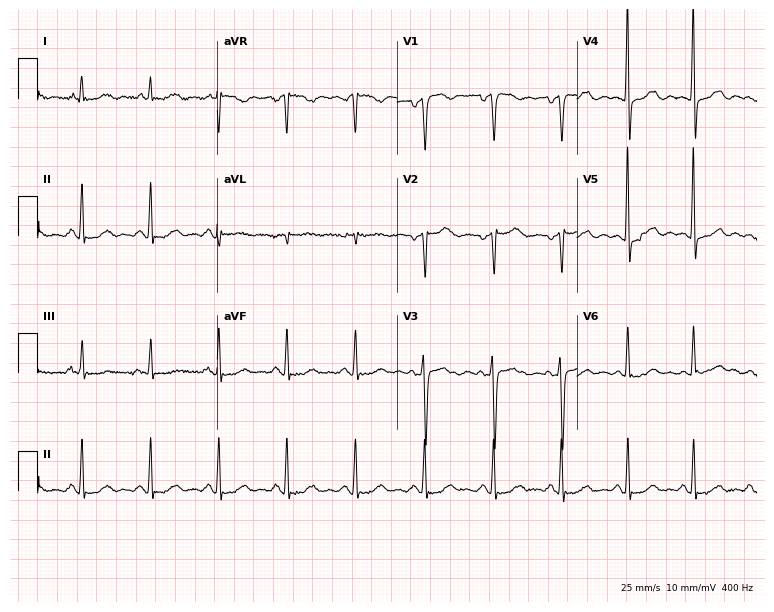
Standard 12-lead ECG recorded from a 68-year-old female. Read as a normal ECG.